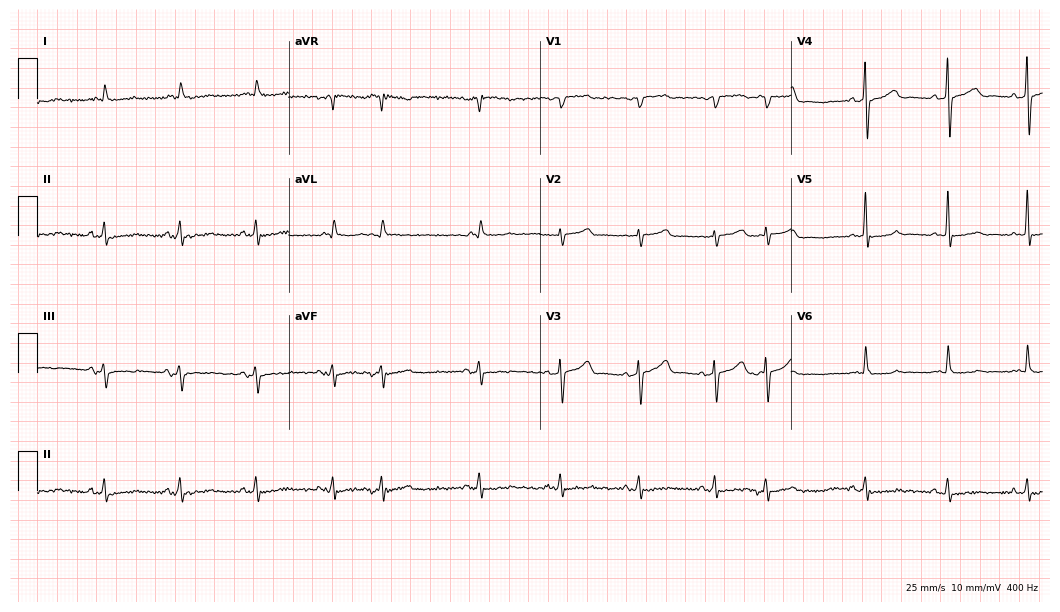
12-lead ECG from an 80-year-old man. No first-degree AV block, right bundle branch block, left bundle branch block, sinus bradycardia, atrial fibrillation or sinus tachycardia recorded for this tracing. Only these six findings were labelled.